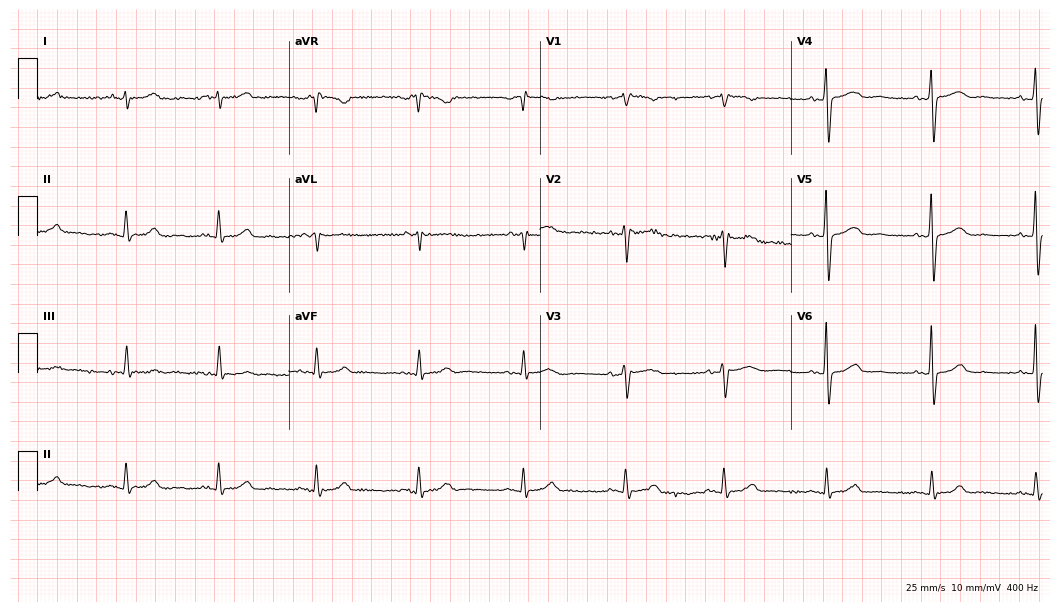
ECG (10.2-second recording at 400 Hz) — a woman, 70 years old. Screened for six findings — first-degree AV block, right bundle branch block, left bundle branch block, sinus bradycardia, atrial fibrillation, sinus tachycardia — none is recorded.